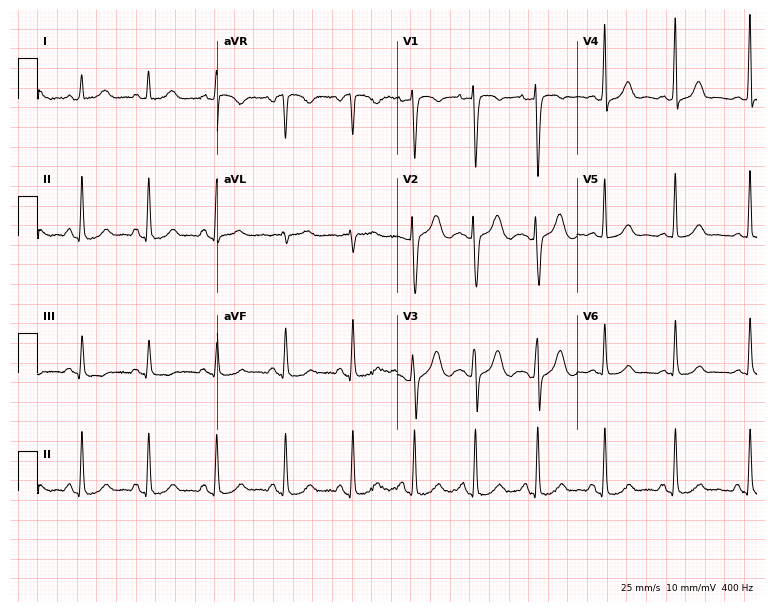
Electrocardiogram (7.3-second recording at 400 Hz), a female patient, 39 years old. Of the six screened findings (first-degree AV block, right bundle branch block (RBBB), left bundle branch block (LBBB), sinus bradycardia, atrial fibrillation (AF), sinus tachycardia), none is recorded. Other findings, if any, are not listed.